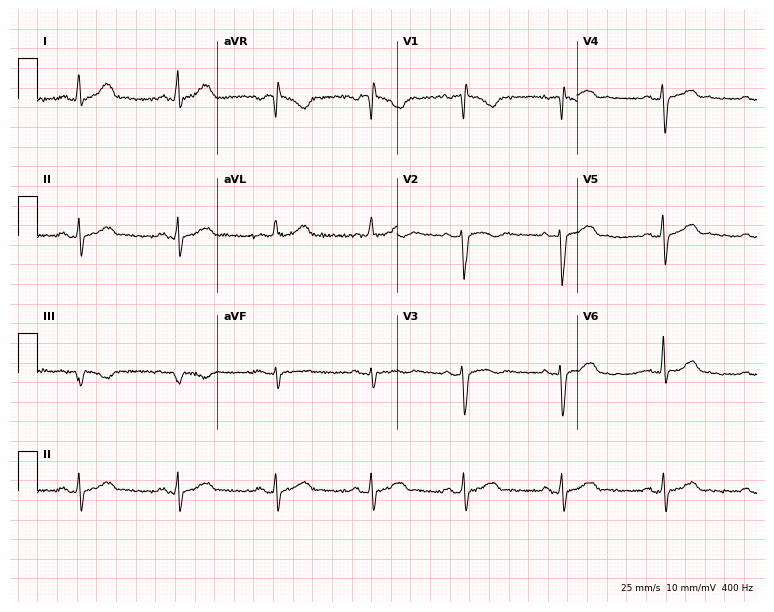
ECG — a female patient, 49 years old. Screened for six findings — first-degree AV block, right bundle branch block, left bundle branch block, sinus bradycardia, atrial fibrillation, sinus tachycardia — none is recorded. Other findings, if any, are not listed.